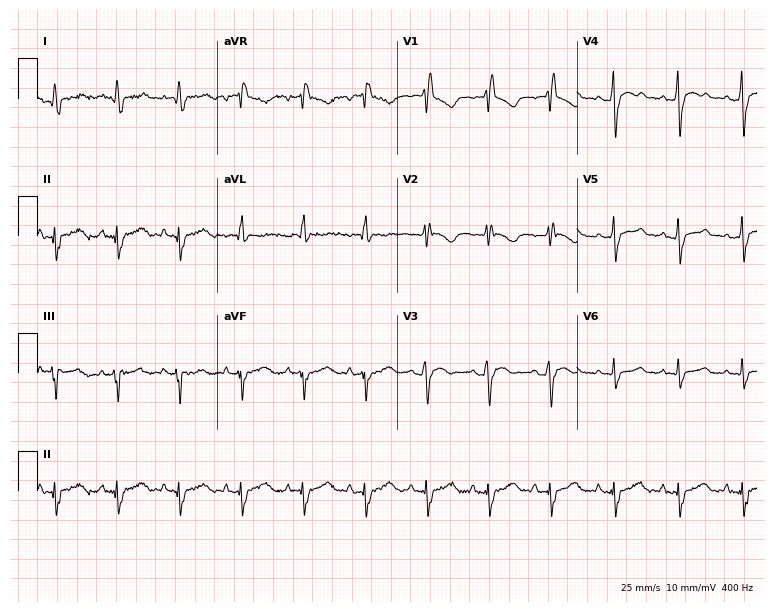
ECG — a female patient, 56 years old. Findings include right bundle branch block (RBBB).